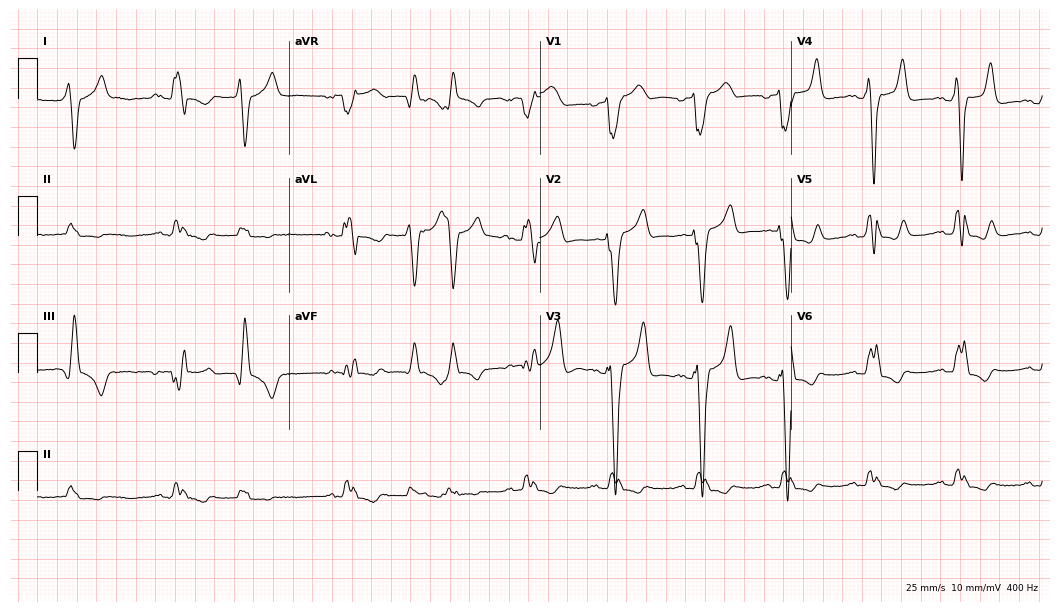
12-lead ECG from a 77-year-old man (10.2-second recording at 400 Hz). Shows left bundle branch block, atrial fibrillation.